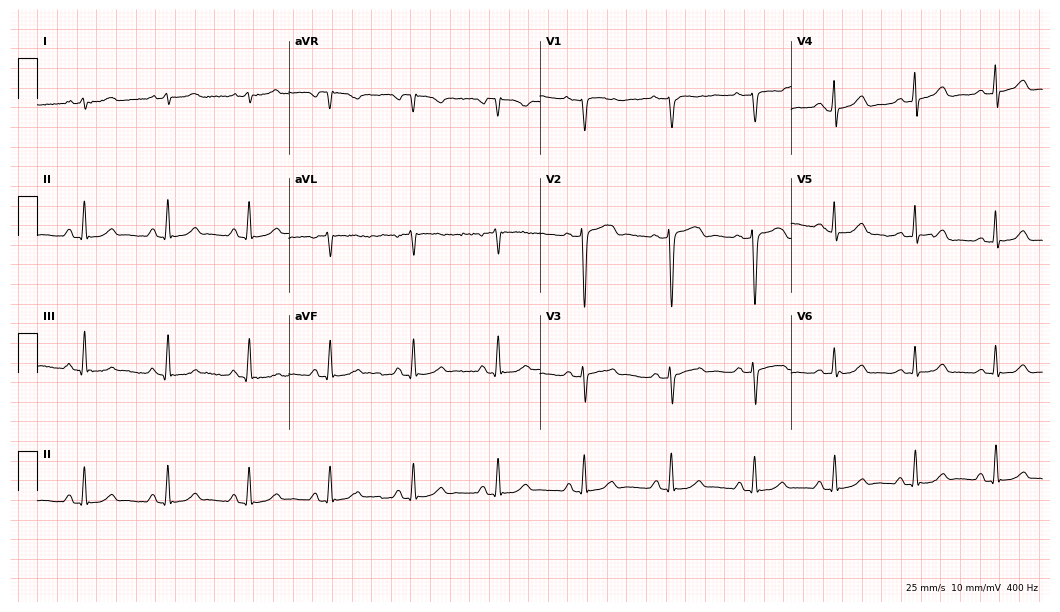
Electrocardiogram, a female patient, 42 years old. Of the six screened findings (first-degree AV block, right bundle branch block (RBBB), left bundle branch block (LBBB), sinus bradycardia, atrial fibrillation (AF), sinus tachycardia), none is recorded.